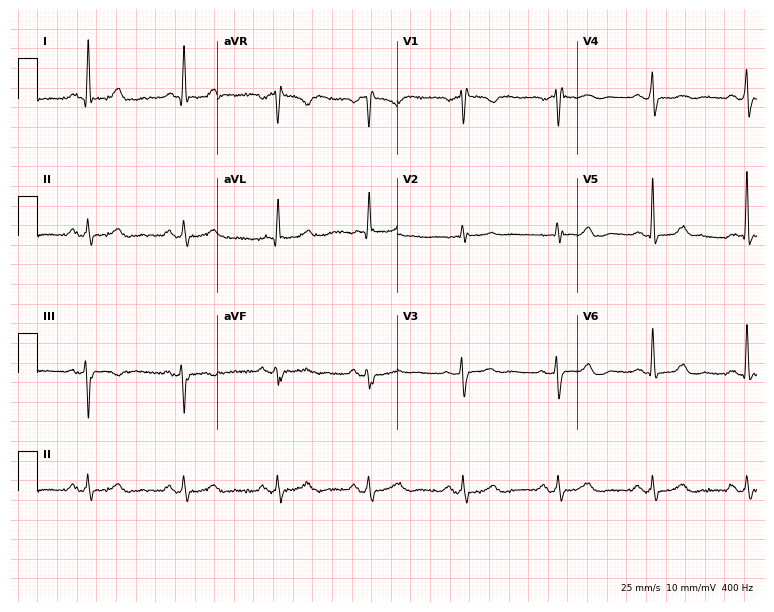
12-lead ECG from a woman, 72 years old. Recorded interpretation: within normal limits.